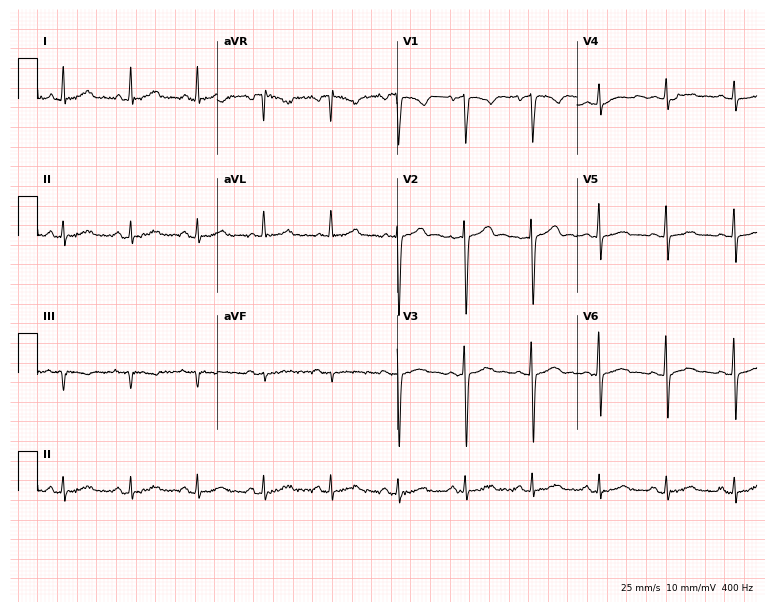
Standard 12-lead ECG recorded from a 64-year-old female patient (7.3-second recording at 400 Hz). None of these six findings is recorded: first-degree AV block, right bundle branch block, left bundle branch block, sinus bradycardia, atrial fibrillation, sinus tachycardia.